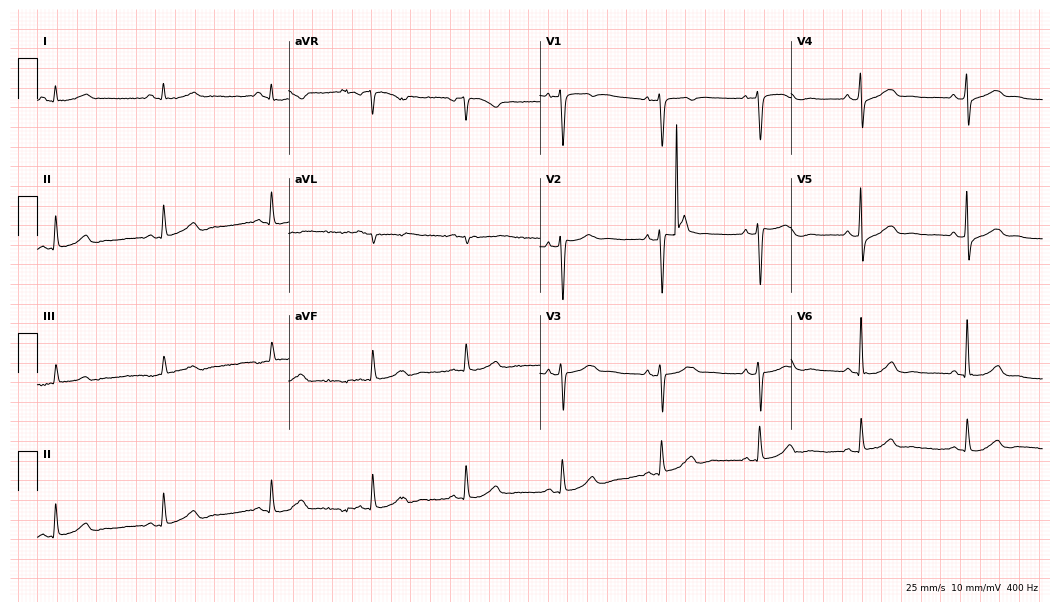
12-lead ECG (10.2-second recording at 400 Hz) from a female, 57 years old. Labelled as a normal ECG.